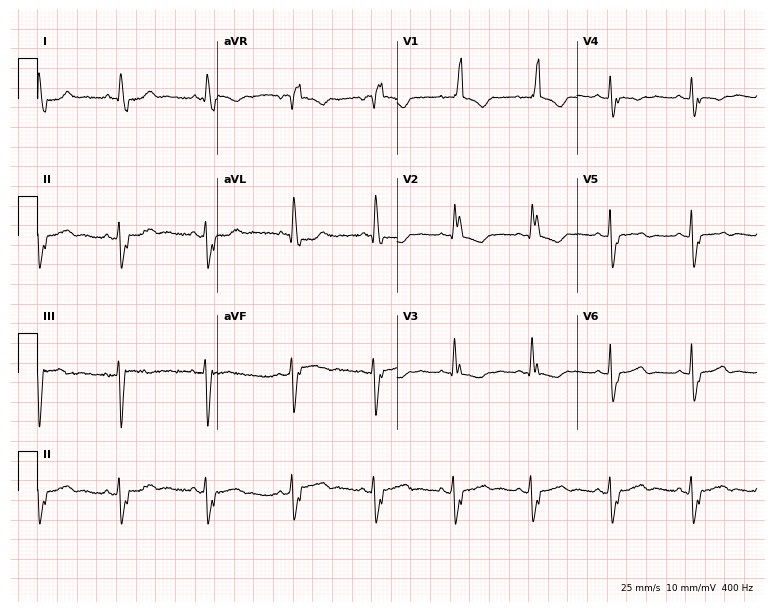
12-lead ECG from a female patient, 81 years old (7.3-second recording at 400 Hz). Shows right bundle branch block.